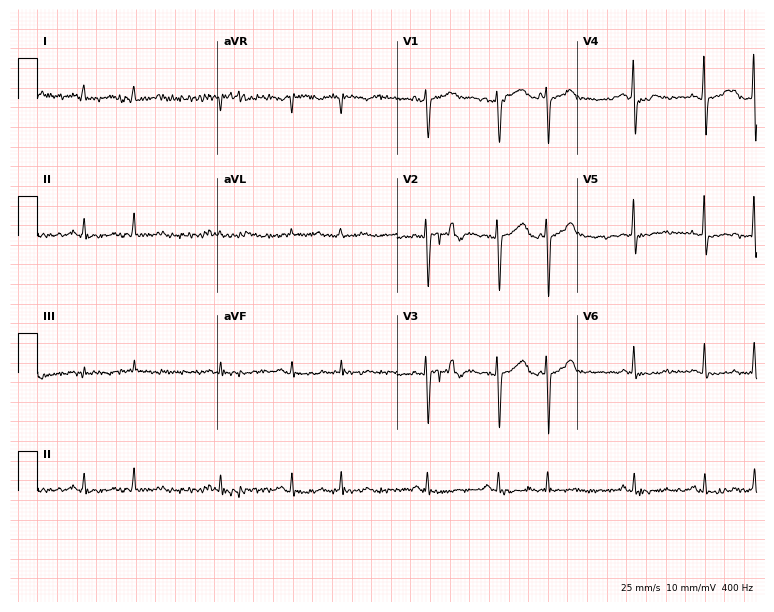
Standard 12-lead ECG recorded from a man, 74 years old (7.3-second recording at 400 Hz). None of these six findings is recorded: first-degree AV block, right bundle branch block (RBBB), left bundle branch block (LBBB), sinus bradycardia, atrial fibrillation (AF), sinus tachycardia.